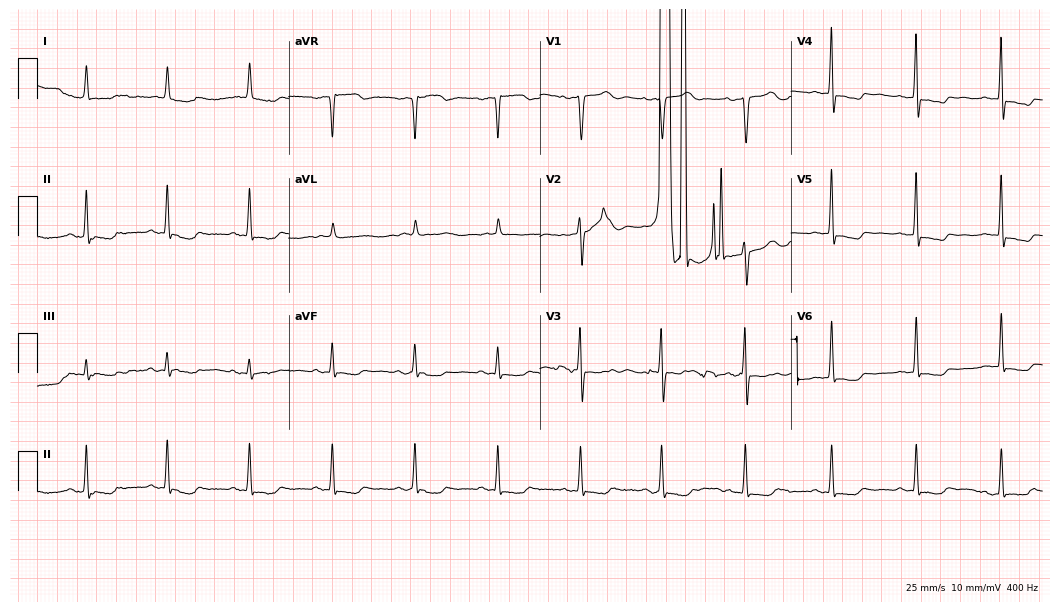
12-lead ECG from an 84-year-old woman. Screened for six findings — first-degree AV block, right bundle branch block, left bundle branch block, sinus bradycardia, atrial fibrillation, sinus tachycardia — none is recorded.